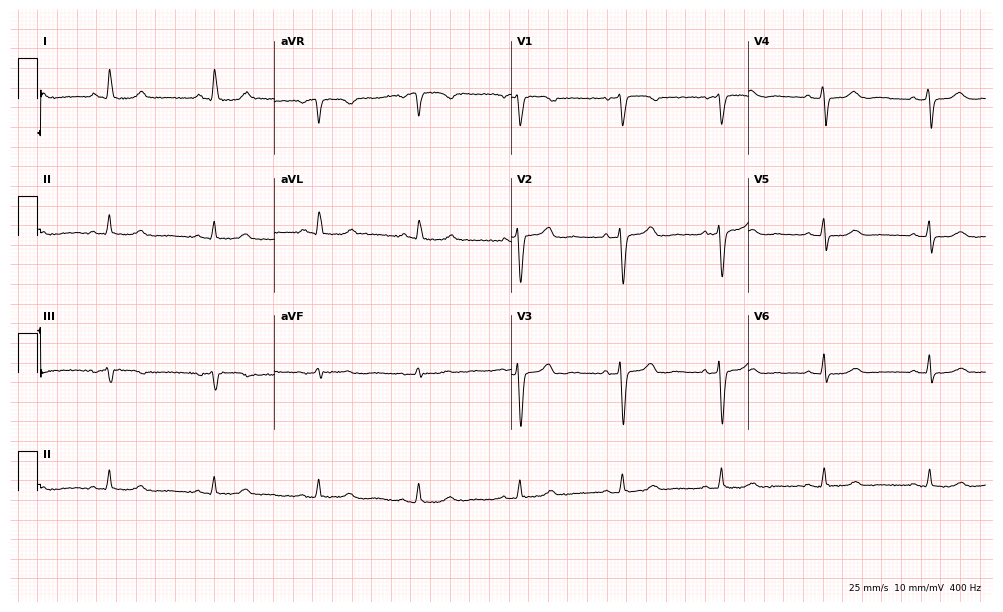
ECG (9.7-second recording at 400 Hz) — a female, 56 years old. Labelled as a normal ECG.